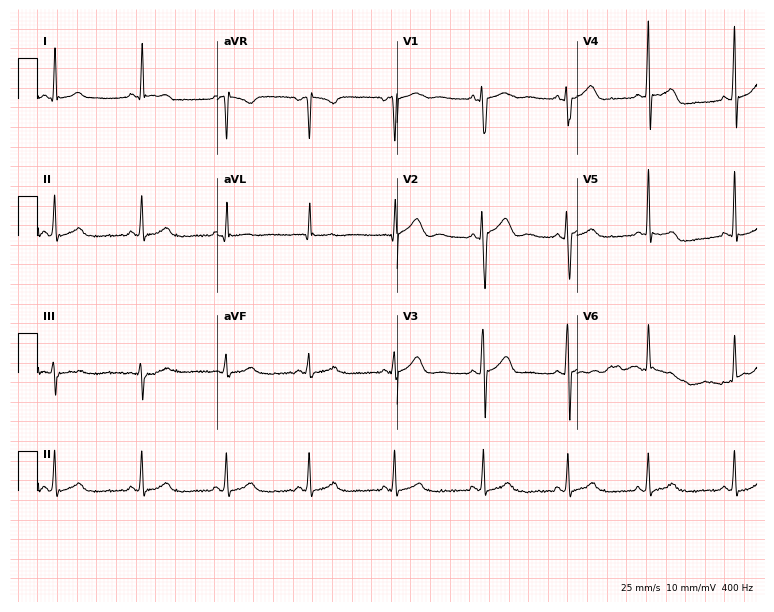
Resting 12-lead electrocardiogram (7.3-second recording at 400 Hz). Patient: a female, 28 years old. None of these six findings is recorded: first-degree AV block, right bundle branch block (RBBB), left bundle branch block (LBBB), sinus bradycardia, atrial fibrillation (AF), sinus tachycardia. Only these six findings were labelled.